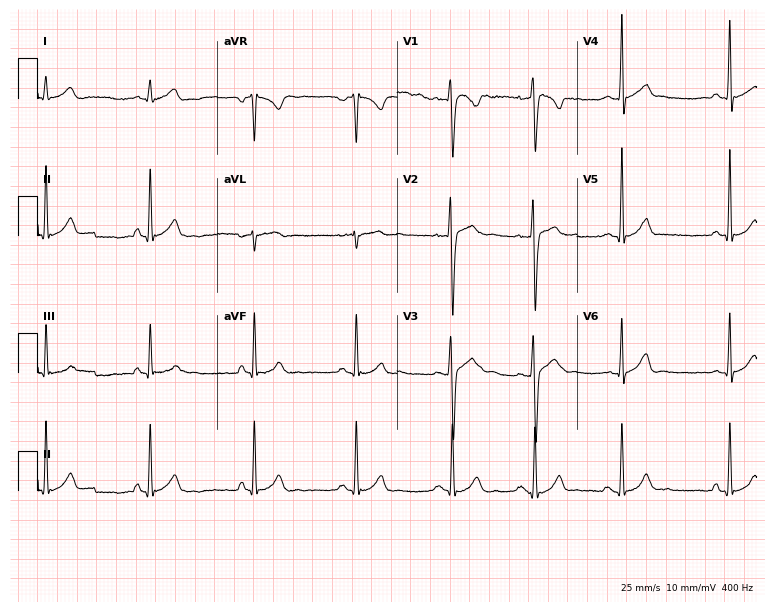
ECG (7.3-second recording at 400 Hz) — an 18-year-old man. Labelled as a normal ECG.